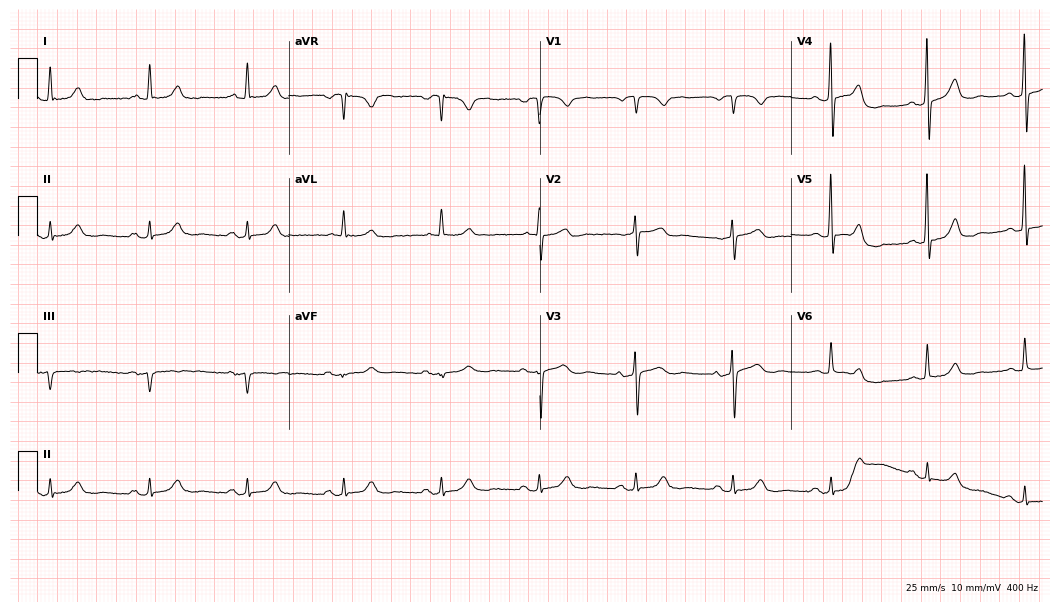
ECG (10.2-second recording at 400 Hz) — a 76-year-old woman. Labelled as a normal ECG.